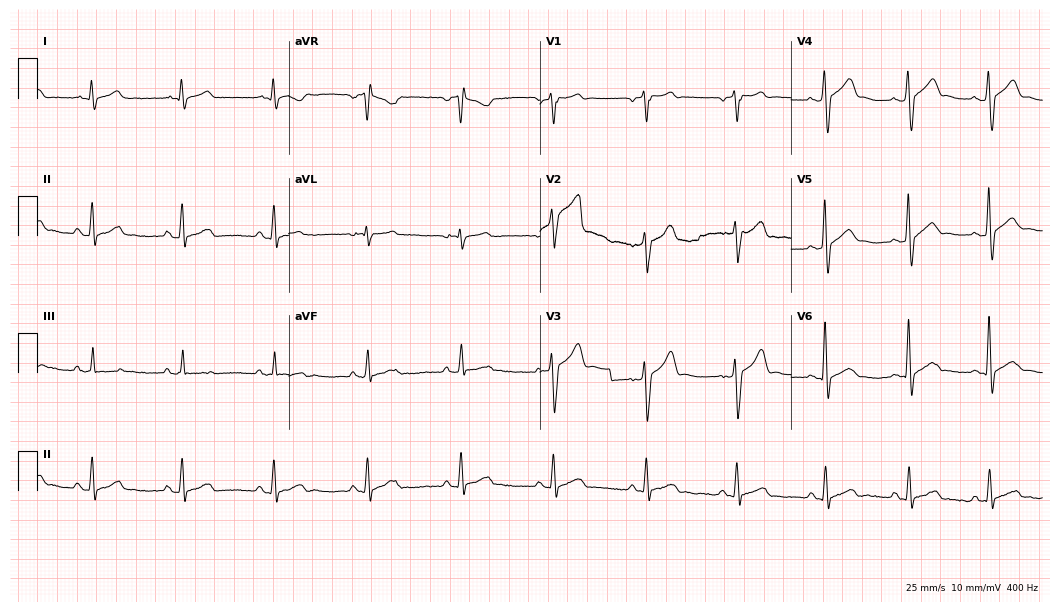
12-lead ECG from a 43-year-old man (10.2-second recording at 400 Hz). Recorded interpretation: within normal limits.